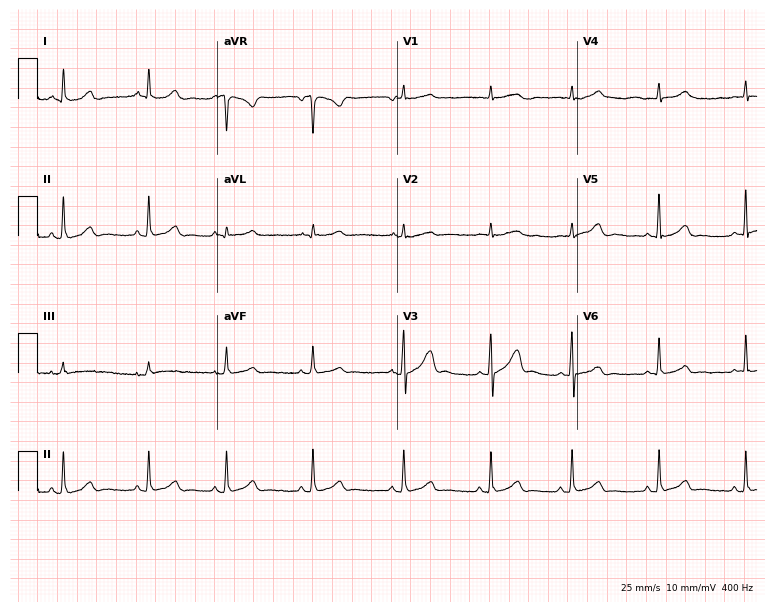
12-lead ECG from a female, 25 years old. No first-degree AV block, right bundle branch block (RBBB), left bundle branch block (LBBB), sinus bradycardia, atrial fibrillation (AF) or sinus tachycardia recorded for this tracing.